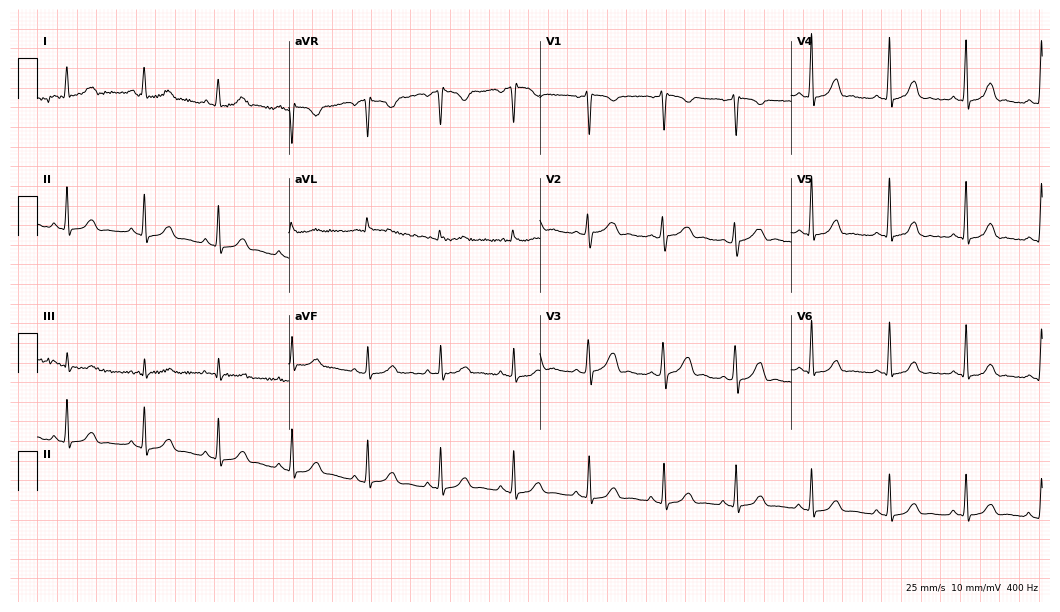
12-lead ECG (10.2-second recording at 400 Hz) from a 23-year-old female. Labelled as a normal ECG.